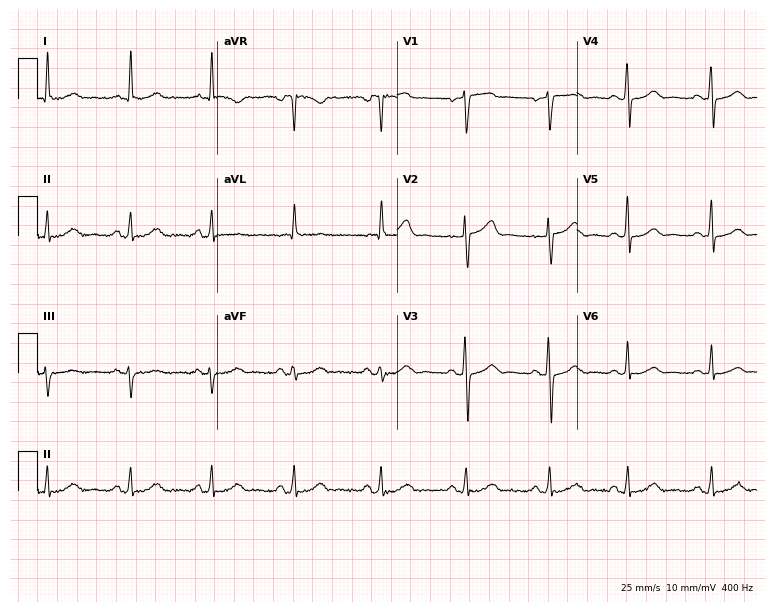
Standard 12-lead ECG recorded from a female, 54 years old. Read as a normal ECG.